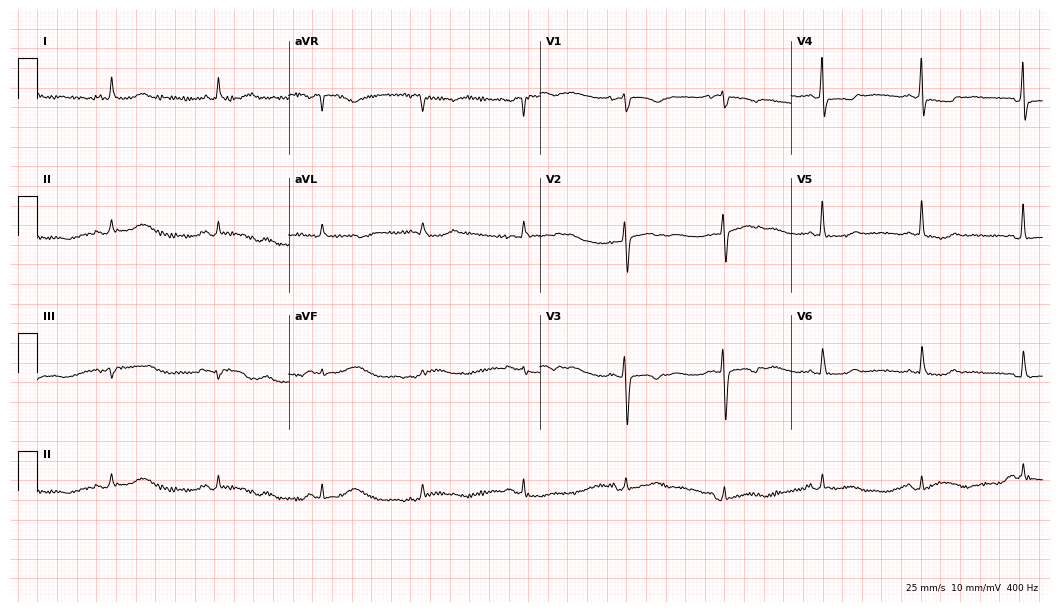
Electrocardiogram, a 71-year-old female patient. Of the six screened findings (first-degree AV block, right bundle branch block, left bundle branch block, sinus bradycardia, atrial fibrillation, sinus tachycardia), none is recorded.